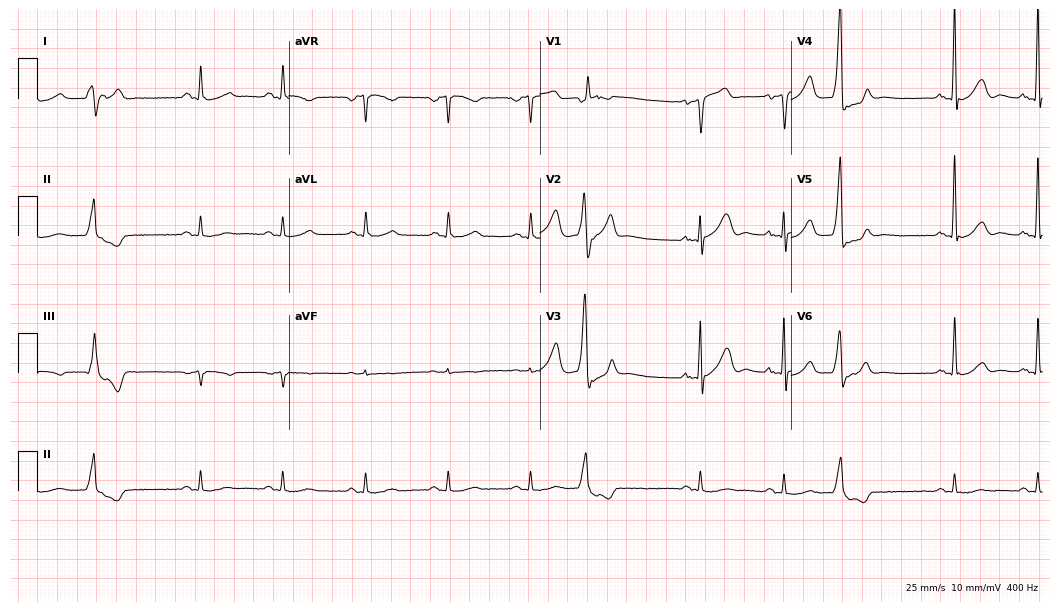
Standard 12-lead ECG recorded from a 74-year-old male patient (10.2-second recording at 400 Hz). None of these six findings is recorded: first-degree AV block, right bundle branch block (RBBB), left bundle branch block (LBBB), sinus bradycardia, atrial fibrillation (AF), sinus tachycardia. Only these six findings were labelled.